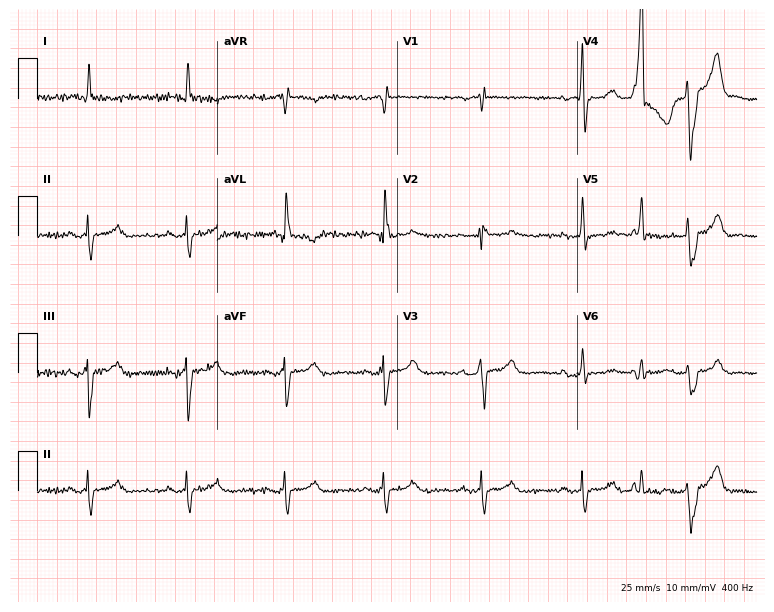
Standard 12-lead ECG recorded from a 73-year-old woman. None of these six findings is recorded: first-degree AV block, right bundle branch block, left bundle branch block, sinus bradycardia, atrial fibrillation, sinus tachycardia.